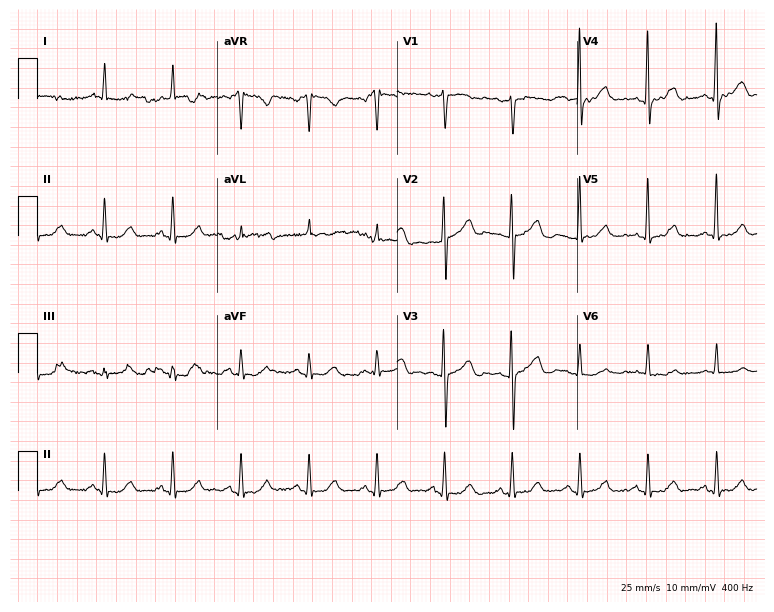
12-lead ECG from a woman, 66 years old. Labelled as a normal ECG.